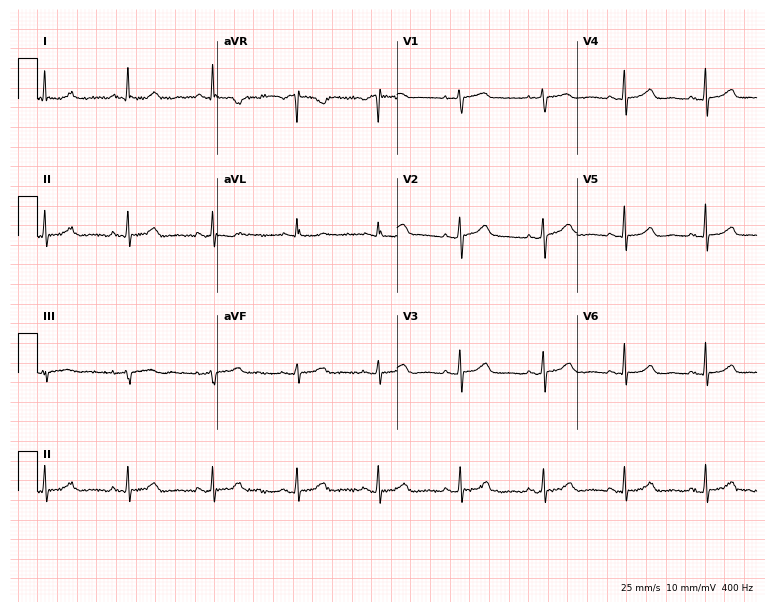
12-lead ECG (7.3-second recording at 400 Hz) from a female, 60 years old. Labelled as a normal ECG.